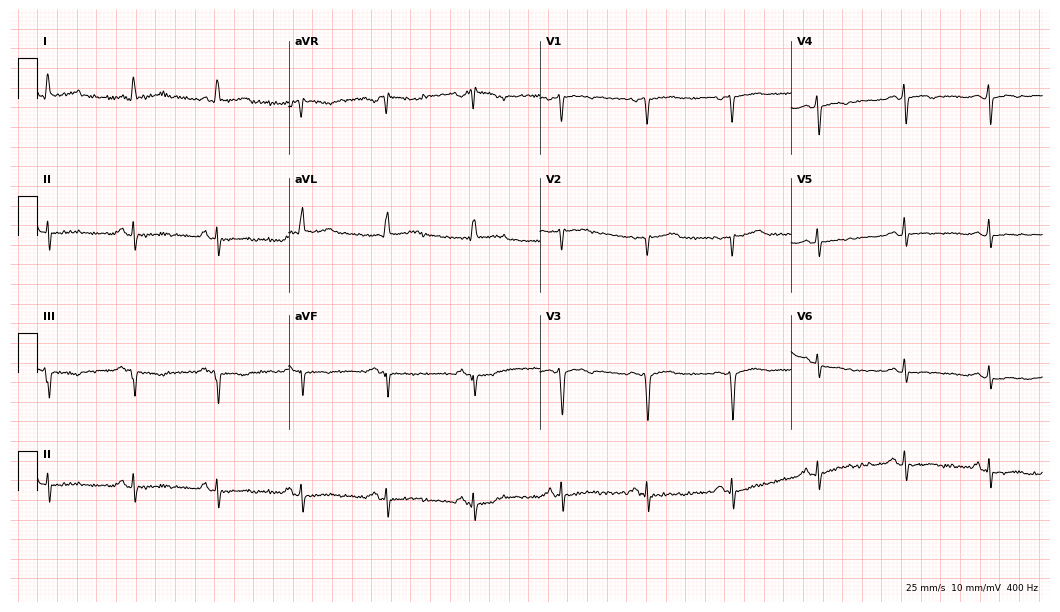
12-lead ECG (10.2-second recording at 400 Hz) from a female patient, 62 years old. Screened for six findings — first-degree AV block, right bundle branch block, left bundle branch block, sinus bradycardia, atrial fibrillation, sinus tachycardia — none is recorded. Only these six findings were labelled.